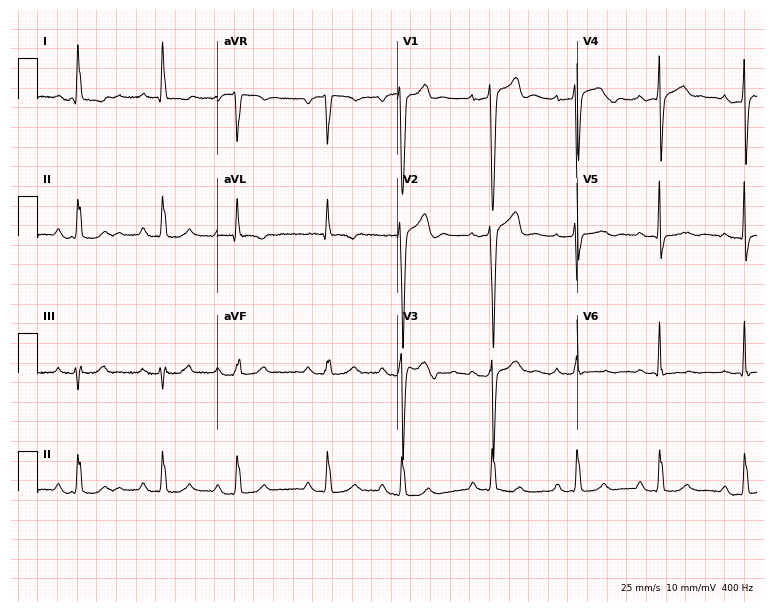
12-lead ECG from a 34-year-old male patient. No first-degree AV block, right bundle branch block, left bundle branch block, sinus bradycardia, atrial fibrillation or sinus tachycardia recorded for this tracing.